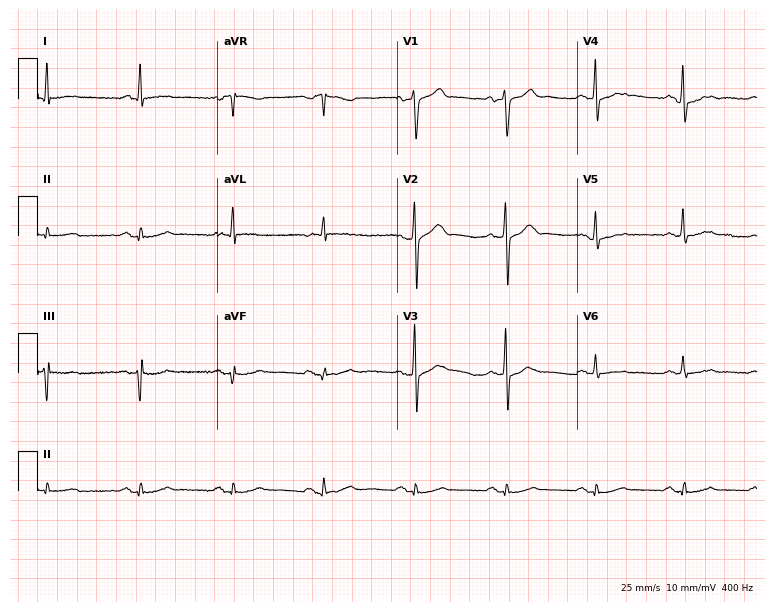
Standard 12-lead ECG recorded from a 61-year-old male. None of these six findings is recorded: first-degree AV block, right bundle branch block (RBBB), left bundle branch block (LBBB), sinus bradycardia, atrial fibrillation (AF), sinus tachycardia. Only these six findings were labelled.